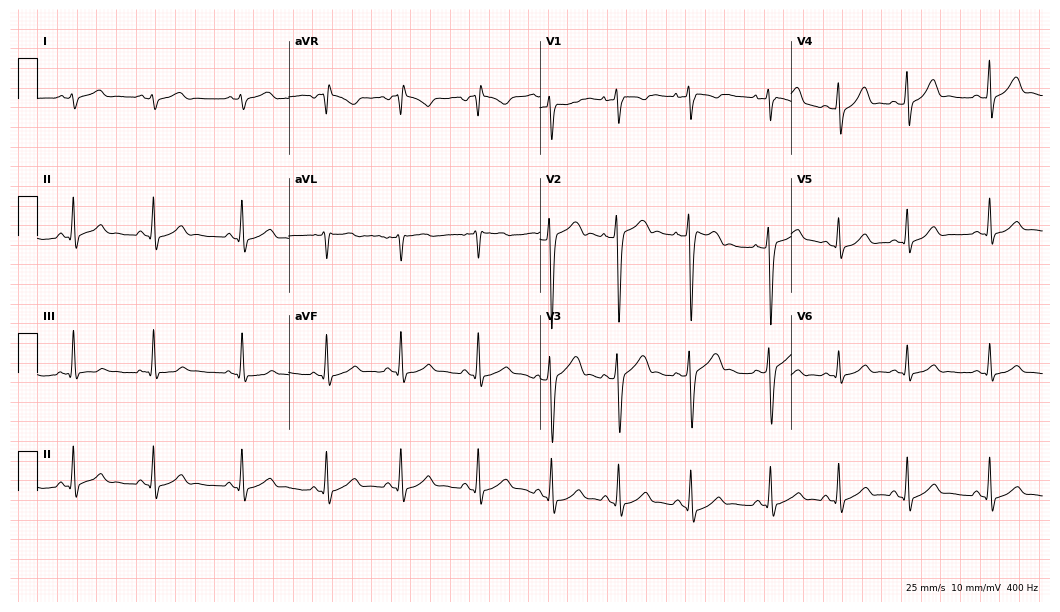
Resting 12-lead electrocardiogram (10.2-second recording at 400 Hz). Patient: an 18-year-old male. None of these six findings is recorded: first-degree AV block, right bundle branch block, left bundle branch block, sinus bradycardia, atrial fibrillation, sinus tachycardia. Findings outside these six are not listed.